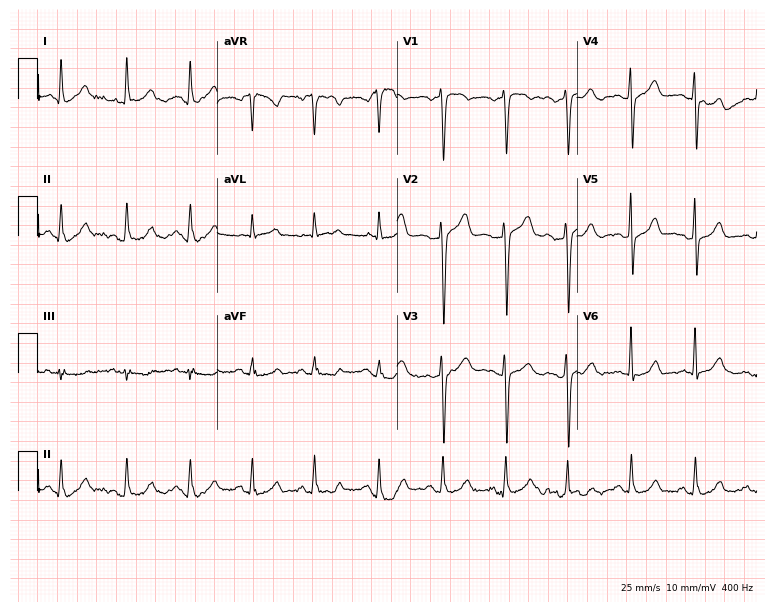
ECG (7.3-second recording at 400 Hz) — a 68-year-old female patient. Labelled as a normal ECG.